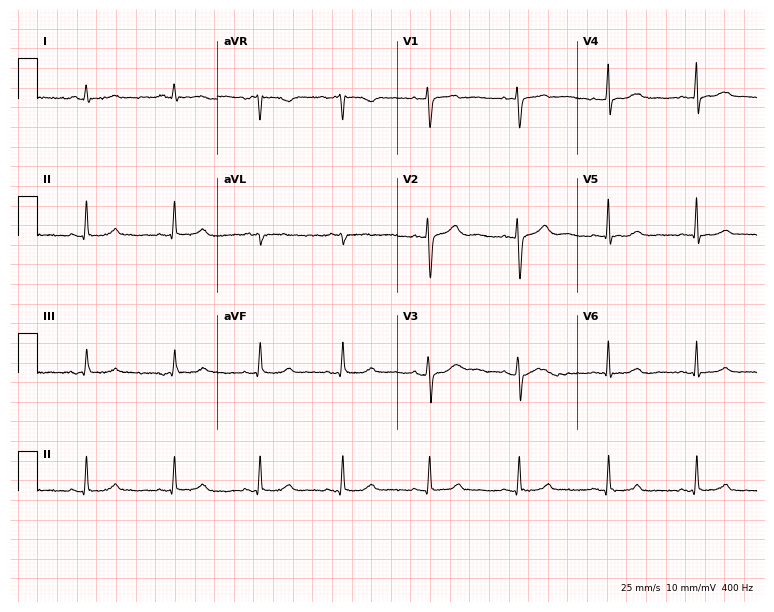
Standard 12-lead ECG recorded from a 39-year-old female patient (7.3-second recording at 400 Hz). Read as a normal ECG.